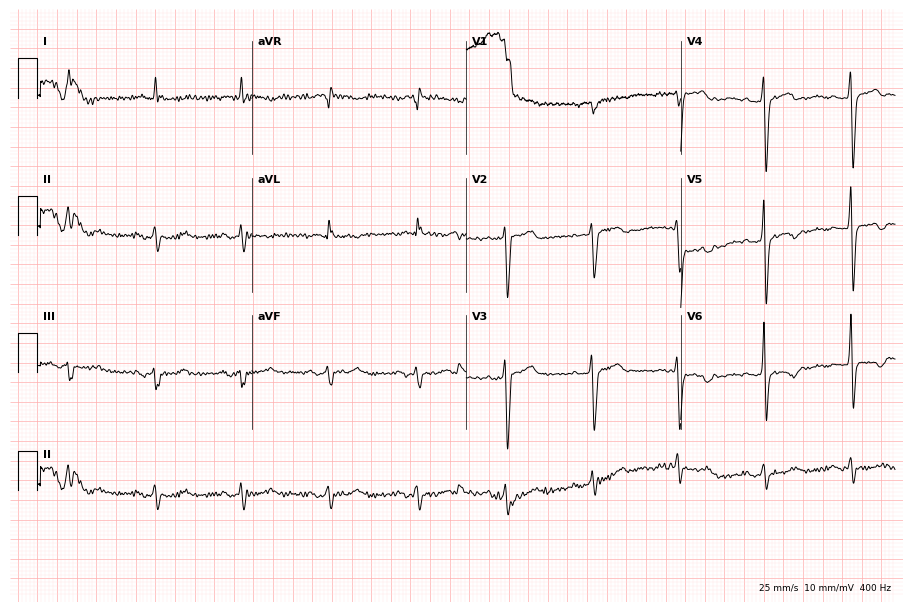
Standard 12-lead ECG recorded from a female patient, 67 years old (8.7-second recording at 400 Hz). None of these six findings is recorded: first-degree AV block, right bundle branch block, left bundle branch block, sinus bradycardia, atrial fibrillation, sinus tachycardia.